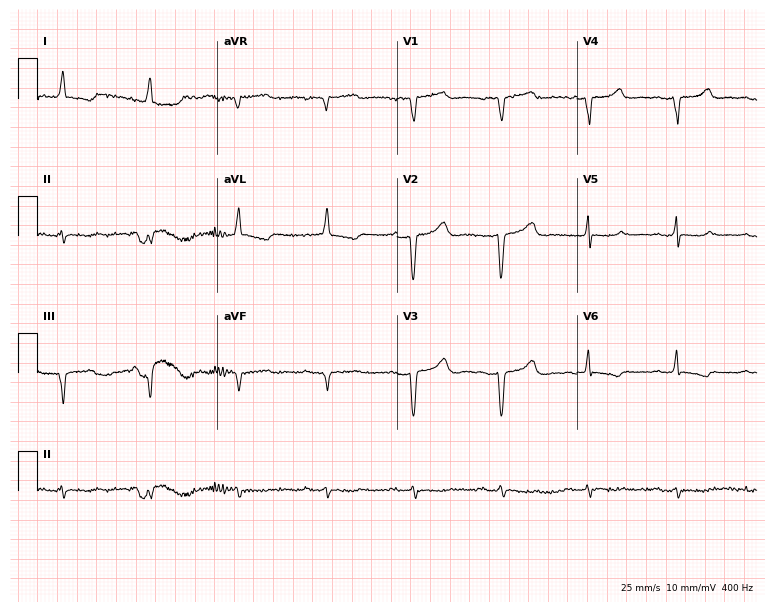
12-lead ECG from a 70-year-old female patient. Shows first-degree AV block.